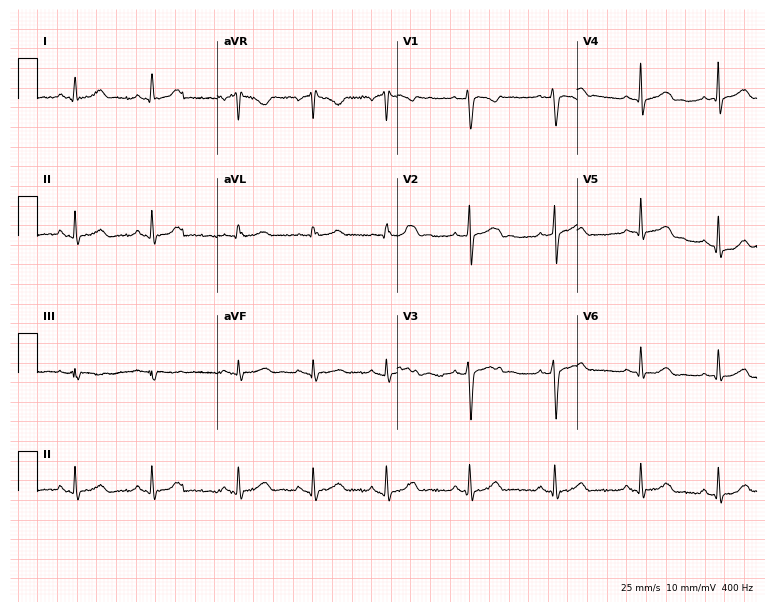
Standard 12-lead ECG recorded from a 23-year-old female patient. Read as a normal ECG.